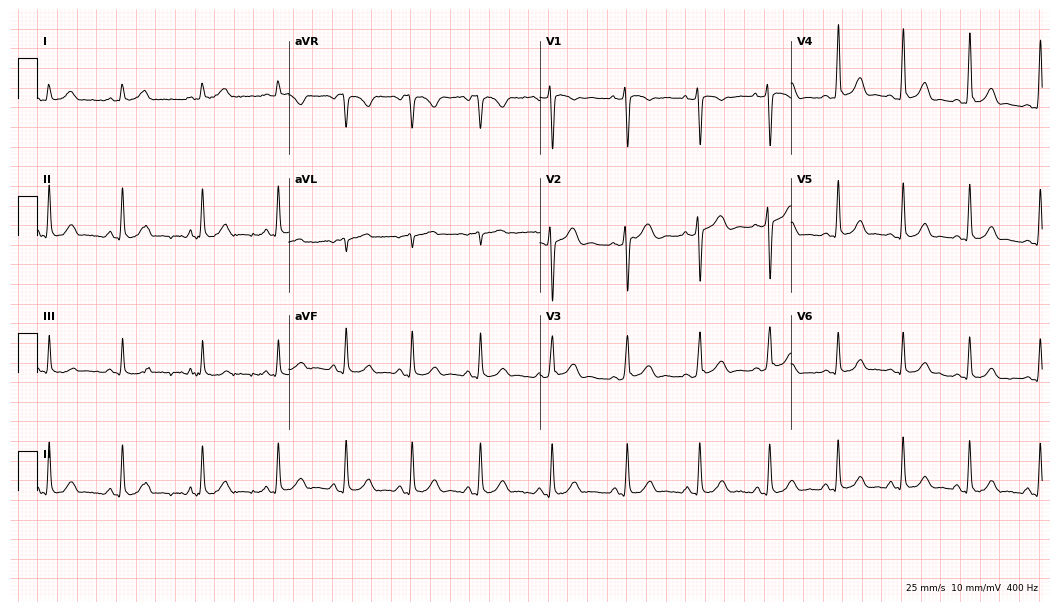
12-lead ECG from a male patient, 33 years old. Recorded interpretation: within normal limits.